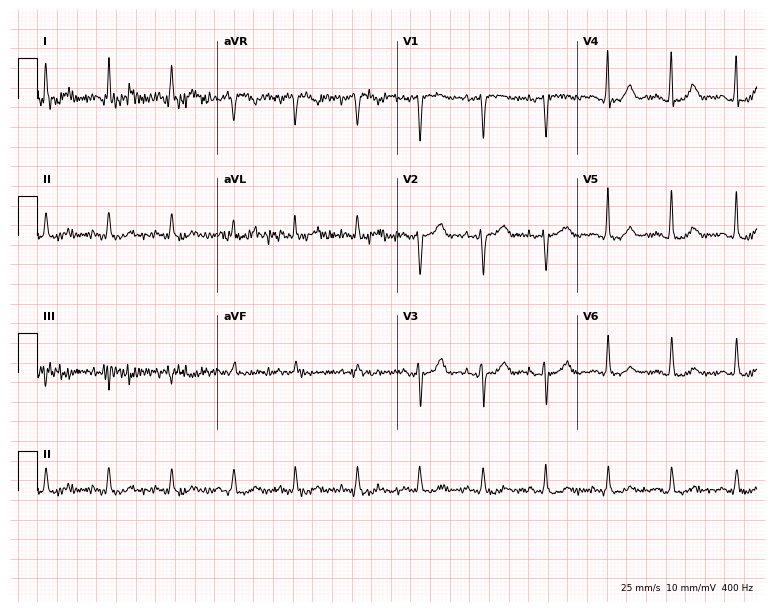
ECG (7.3-second recording at 400 Hz) — a 70-year-old woman. Screened for six findings — first-degree AV block, right bundle branch block (RBBB), left bundle branch block (LBBB), sinus bradycardia, atrial fibrillation (AF), sinus tachycardia — none is recorded. Only these six findings were labelled.